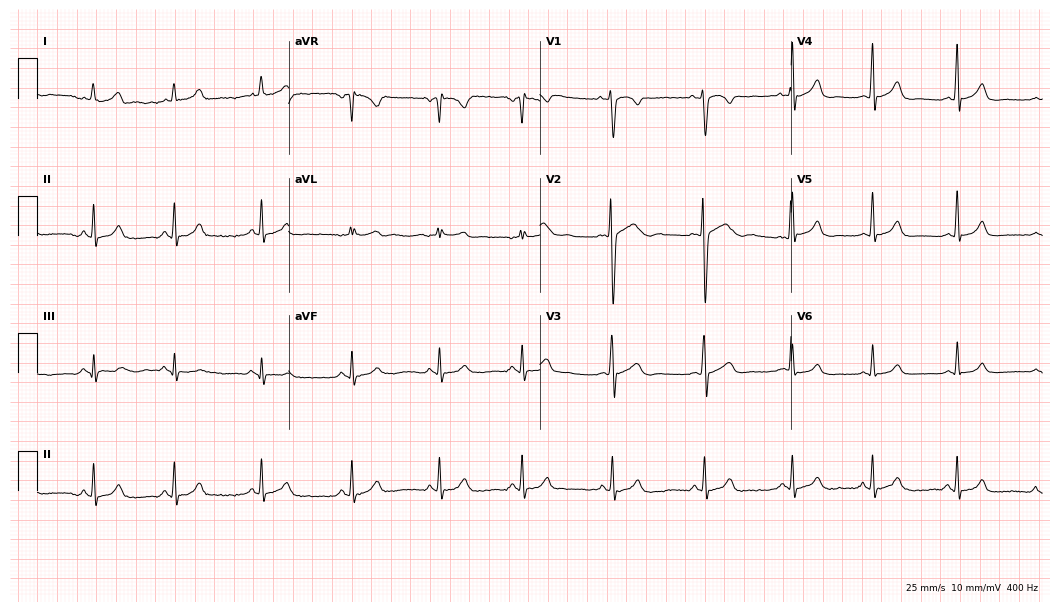
Standard 12-lead ECG recorded from a woman, 28 years old (10.2-second recording at 400 Hz). None of these six findings is recorded: first-degree AV block, right bundle branch block (RBBB), left bundle branch block (LBBB), sinus bradycardia, atrial fibrillation (AF), sinus tachycardia. Other findings, if any, are not listed.